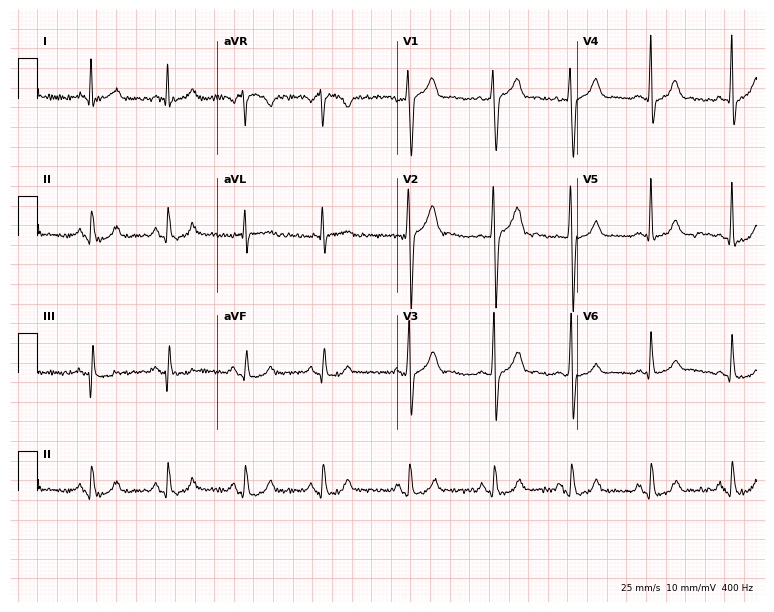
ECG (7.3-second recording at 400 Hz) — a 29-year-old male patient. Labelled as a normal ECG.